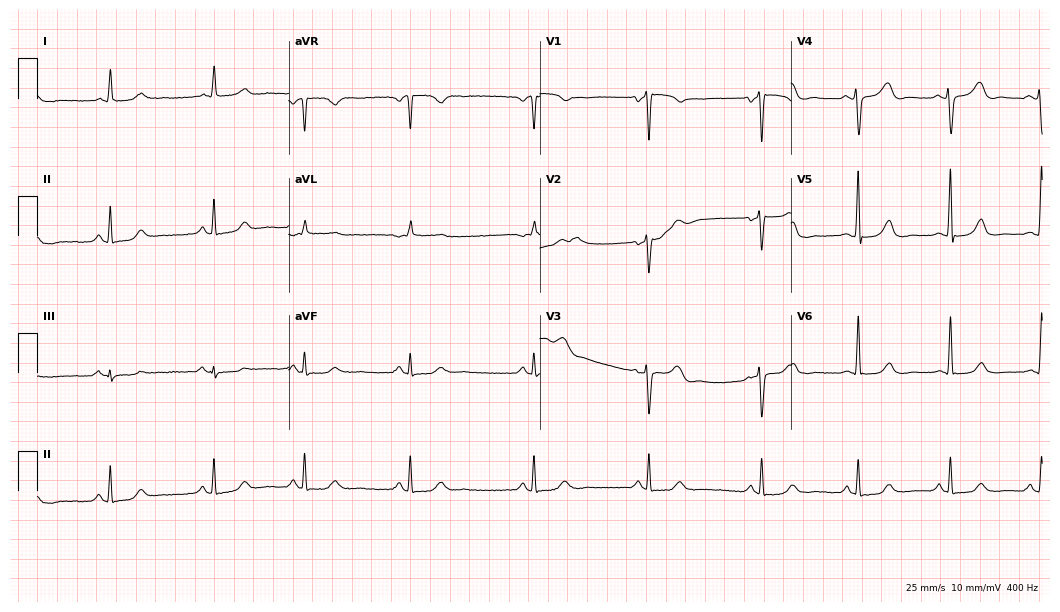
12-lead ECG (10.2-second recording at 400 Hz) from a 69-year-old female. Labelled as a normal ECG.